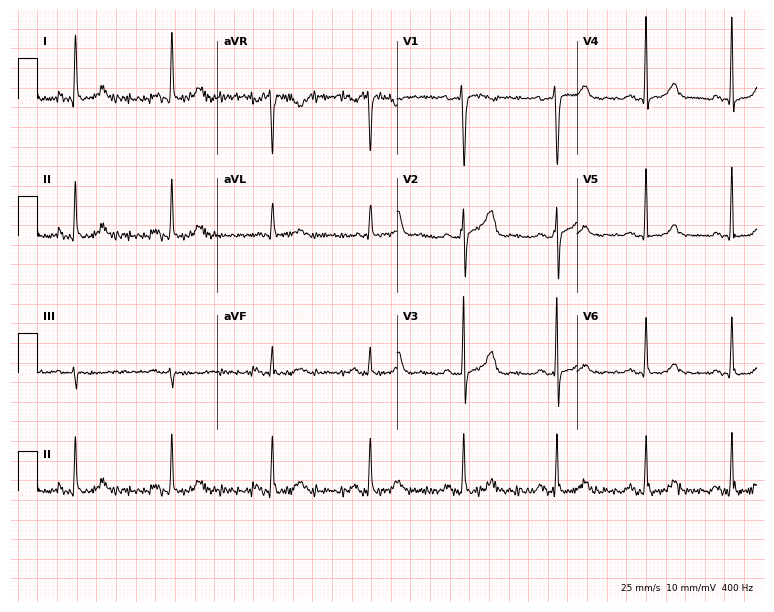
Resting 12-lead electrocardiogram. Patient: a 49-year-old woman. Read as a normal ECG.